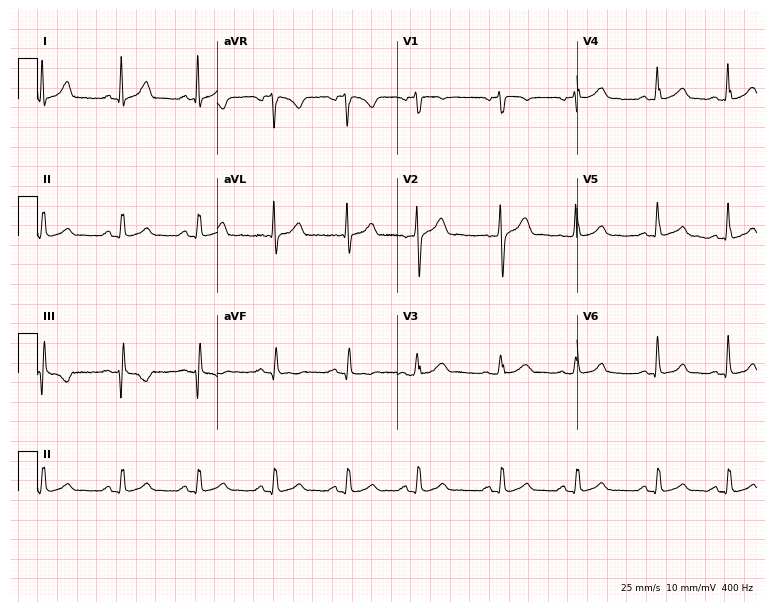
Electrocardiogram (7.3-second recording at 400 Hz), a 26-year-old male patient. Overall reading on record: normal ECG.